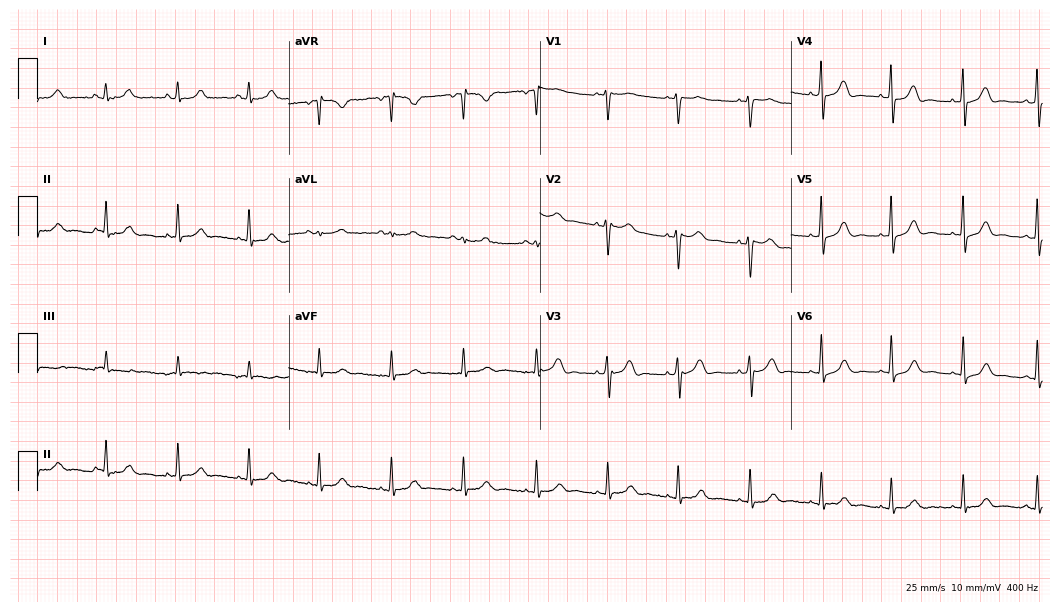
Standard 12-lead ECG recorded from a 32-year-old female. Read as a normal ECG.